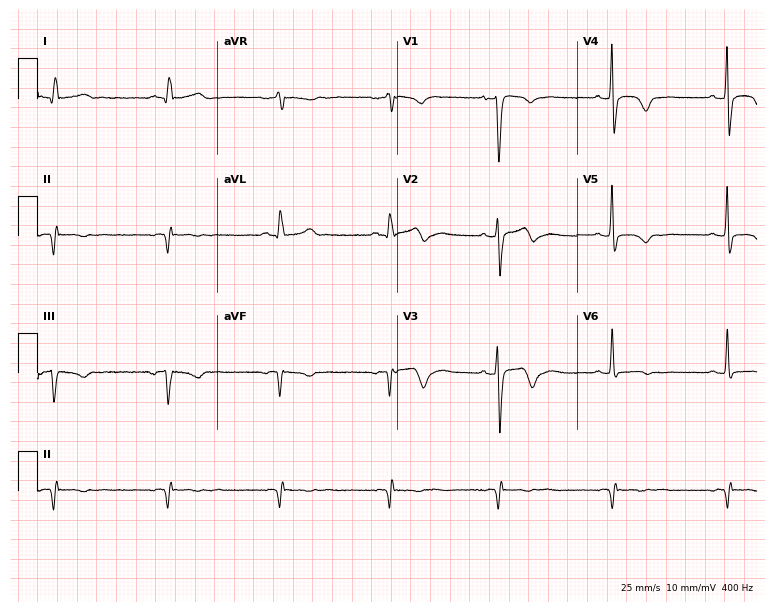
12-lead ECG from a 55-year-old female patient. Screened for six findings — first-degree AV block, right bundle branch block, left bundle branch block, sinus bradycardia, atrial fibrillation, sinus tachycardia — none is recorded. Other findings, if any, are not listed.